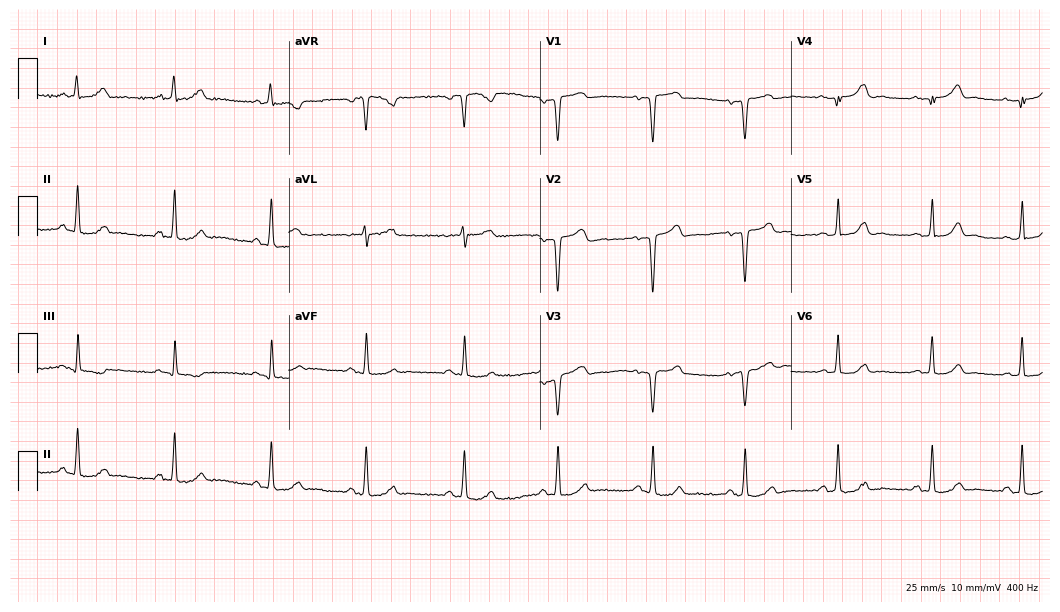
ECG (10.2-second recording at 400 Hz) — a female, 42 years old. Screened for six findings — first-degree AV block, right bundle branch block, left bundle branch block, sinus bradycardia, atrial fibrillation, sinus tachycardia — none is recorded. Findings outside these six are not listed.